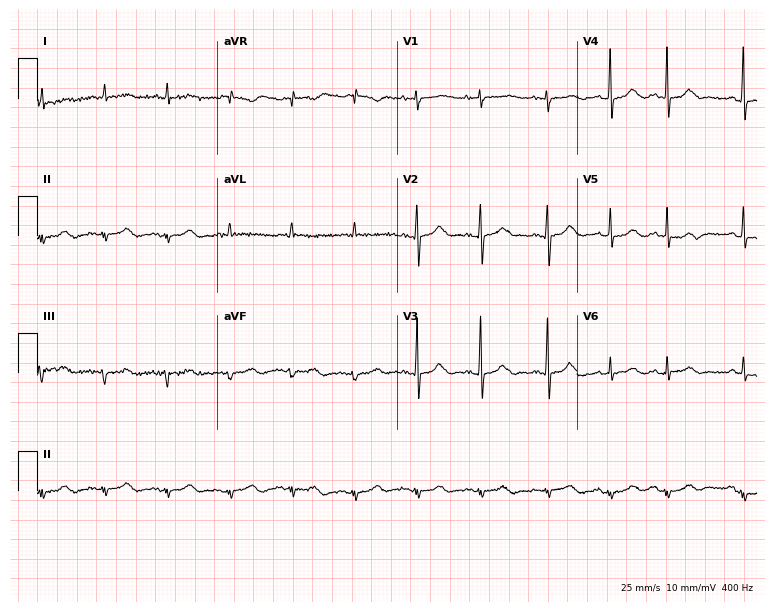
12-lead ECG (7.3-second recording at 400 Hz) from a female patient, 72 years old. Screened for six findings — first-degree AV block, right bundle branch block, left bundle branch block, sinus bradycardia, atrial fibrillation, sinus tachycardia — none is recorded.